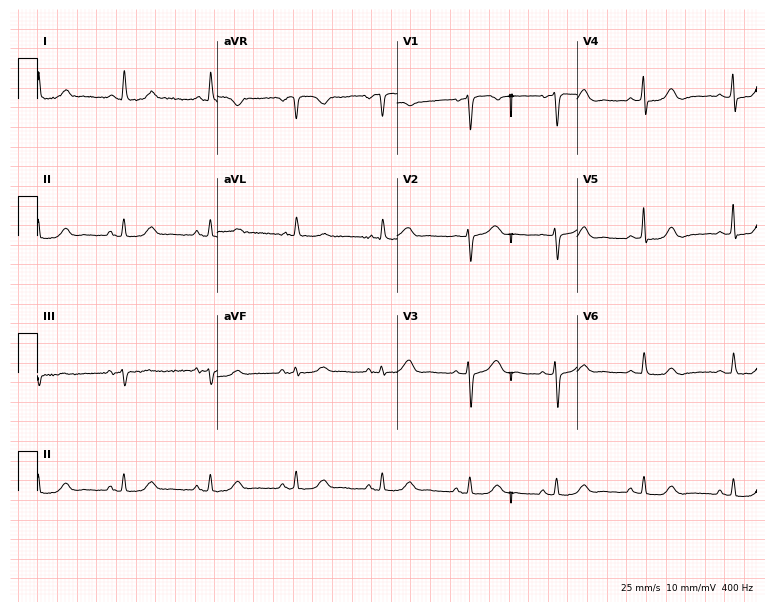
12-lead ECG from a 66-year-old female patient. No first-degree AV block, right bundle branch block, left bundle branch block, sinus bradycardia, atrial fibrillation or sinus tachycardia recorded for this tracing. Only these six findings were labelled.